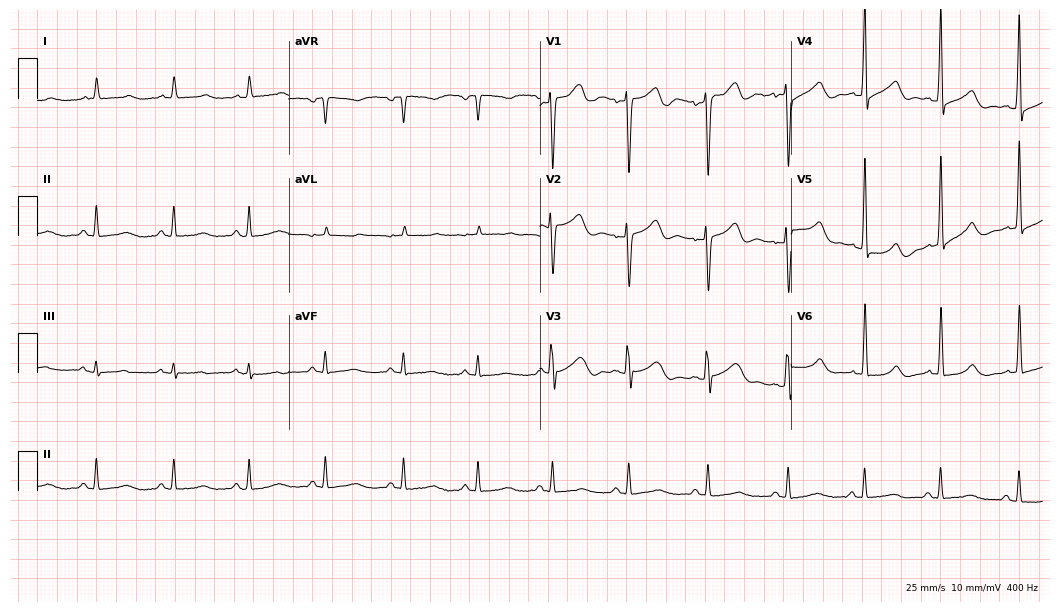
Electrocardiogram, a 61-year-old male. Overall reading on record: normal ECG.